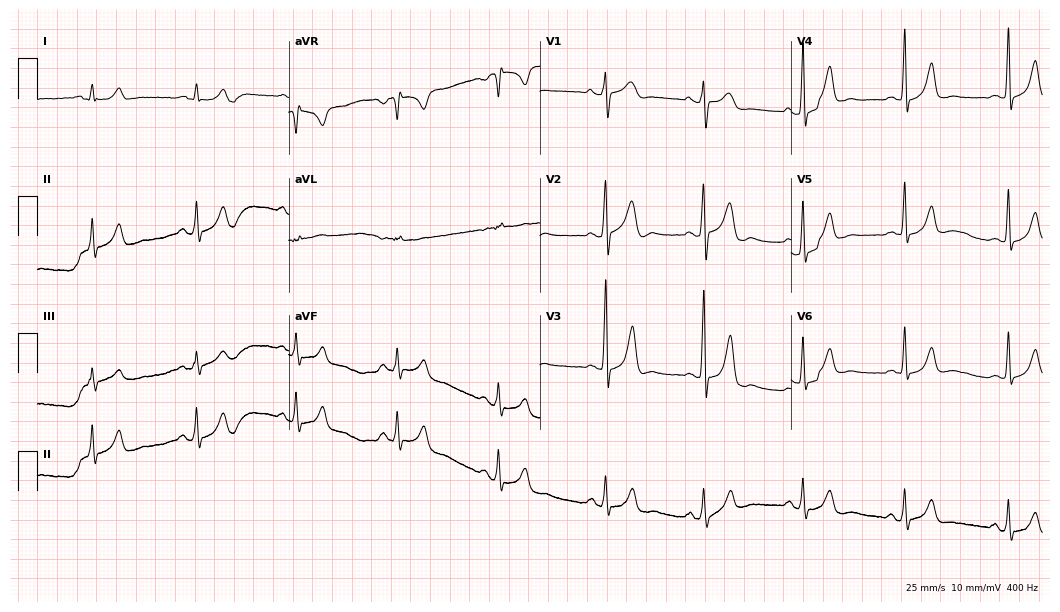
12-lead ECG from a 33-year-old man. Labelled as a normal ECG.